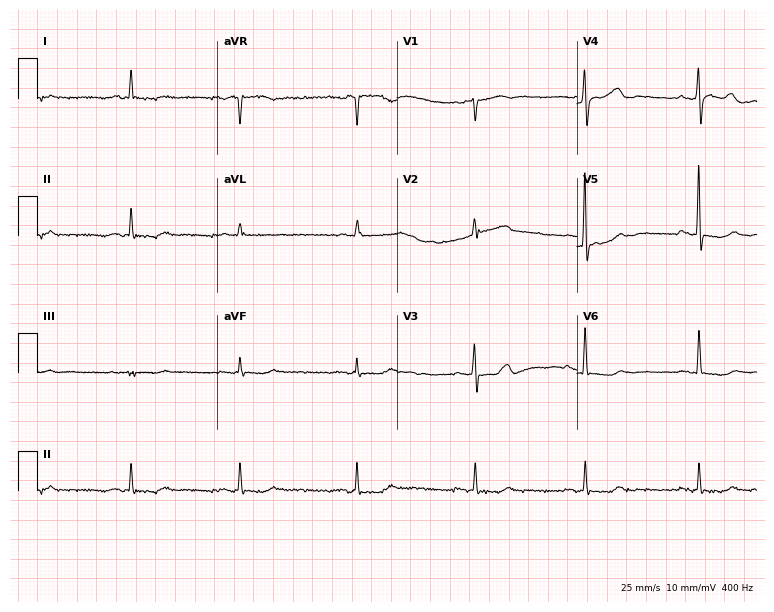
12-lead ECG from a 59-year-old woman (7.3-second recording at 400 Hz). No first-degree AV block, right bundle branch block (RBBB), left bundle branch block (LBBB), sinus bradycardia, atrial fibrillation (AF) or sinus tachycardia recorded for this tracing. Only these six findings were labelled.